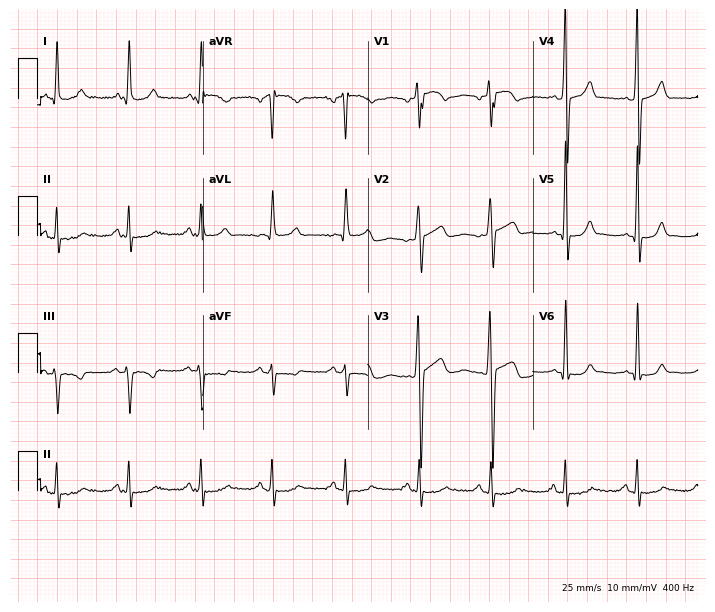
Electrocardiogram, a 29-year-old male patient. Of the six screened findings (first-degree AV block, right bundle branch block, left bundle branch block, sinus bradycardia, atrial fibrillation, sinus tachycardia), none is recorded.